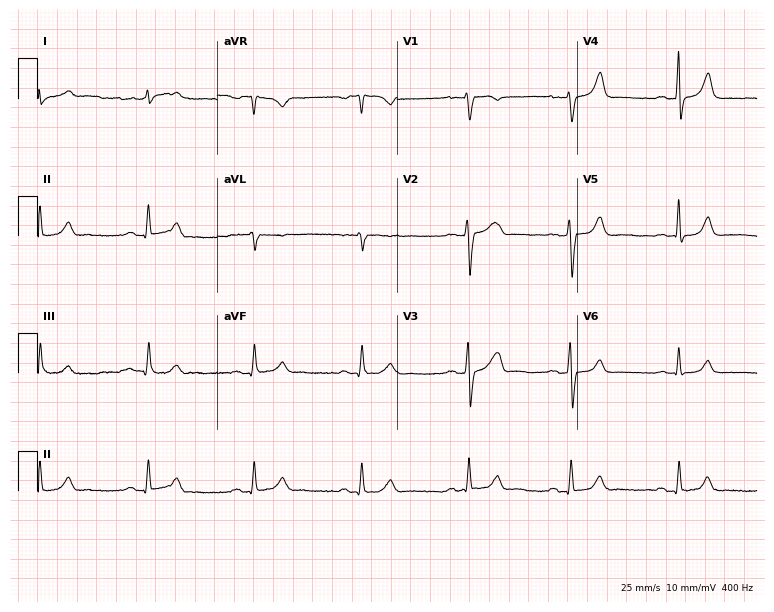
Resting 12-lead electrocardiogram (7.3-second recording at 400 Hz). Patient: a 41-year-old man. None of these six findings is recorded: first-degree AV block, right bundle branch block, left bundle branch block, sinus bradycardia, atrial fibrillation, sinus tachycardia.